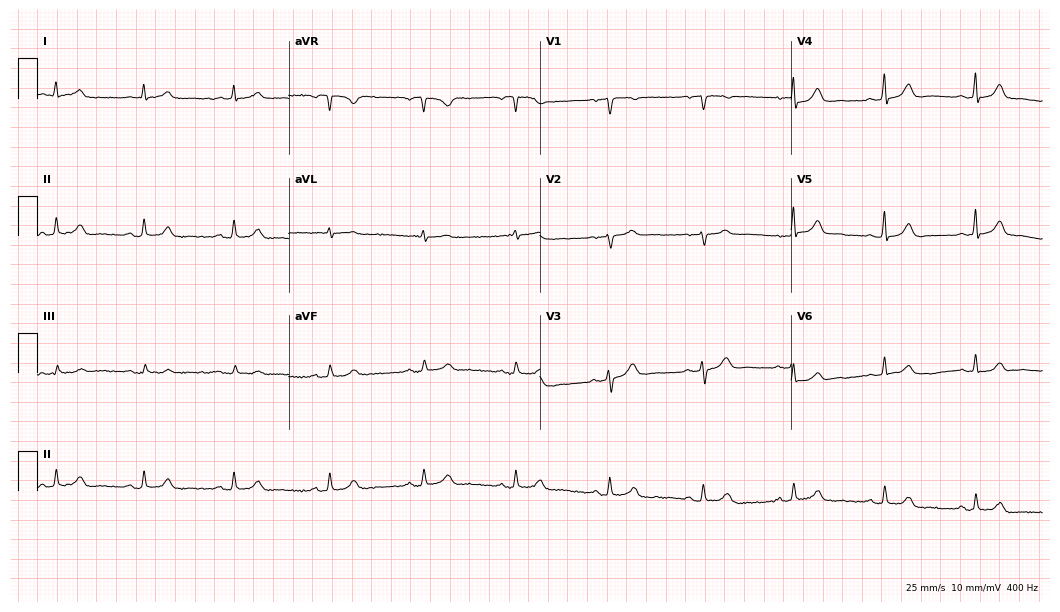
Resting 12-lead electrocardiogram (10.2-second recording at 400 Hz). Patient: a 42-year-old female. Read as a normal ECG.